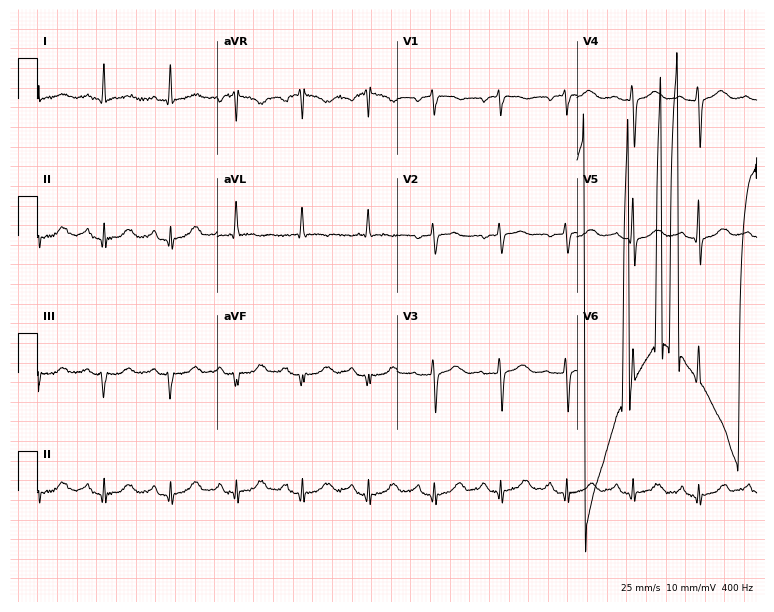
12-lead ECG from a female patient, 76 years old (7.3-second recording at 400 Hz). No first-degree AV block, right bundle branch block, left bundle branch block, sinus bradycardia, atrial fibrillation or sinus tachycardia recorded for this tracing.